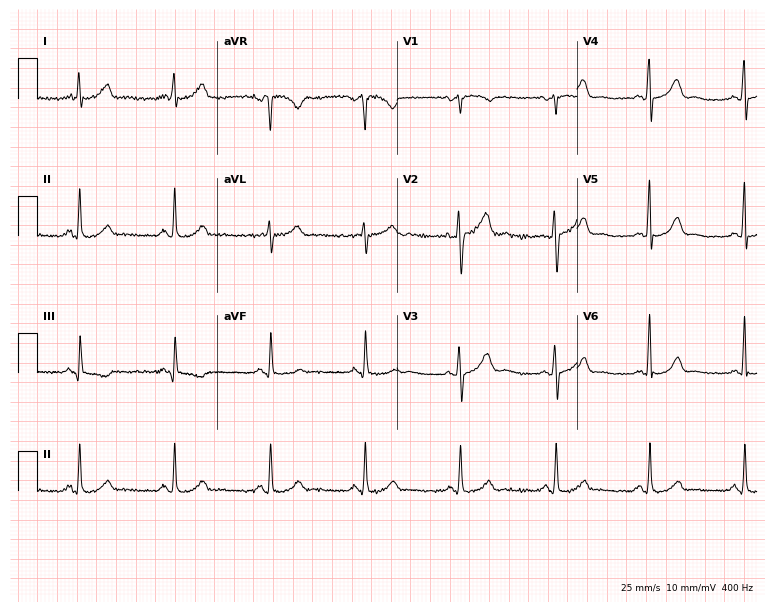
Resting 12-lead electrocardiogram (7.3-second recording at 400 Hz). Patient: a man, 53 years old. Read as a normal ECG.